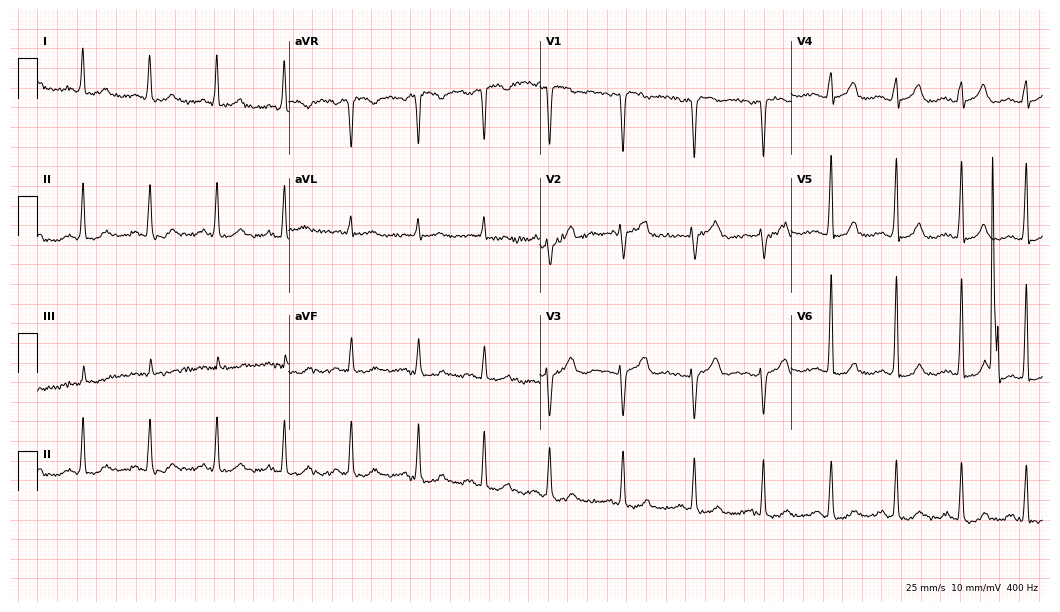
Resting 12-lead electrocardiogram. Patient: a 73-year-old female. None of these six findings is recorded: first-degree AV block, right bundle branch block (RBBB), left bundle branch block (LBBB), sinus bradycardia, atrial fibrillation (AF), sinus tachycardia. Findings outside these six are not listed.